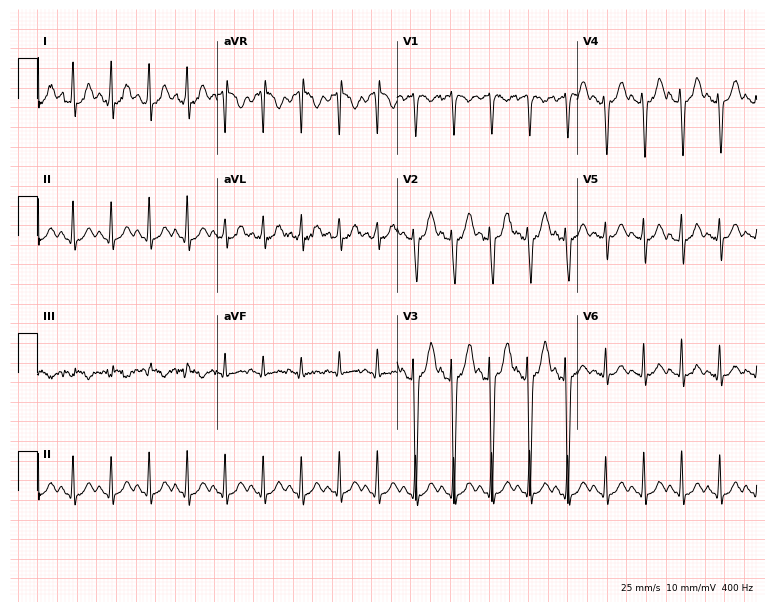
Electrocardiogram, a female, 23 years old. Of the six screened findings (first-degree AV block, right bundle branch block, left bundle branch block, sinus bradycardia, atrial fibrillation, sinus tachycardia), none is recorded. Other findings, if any, are not listed.